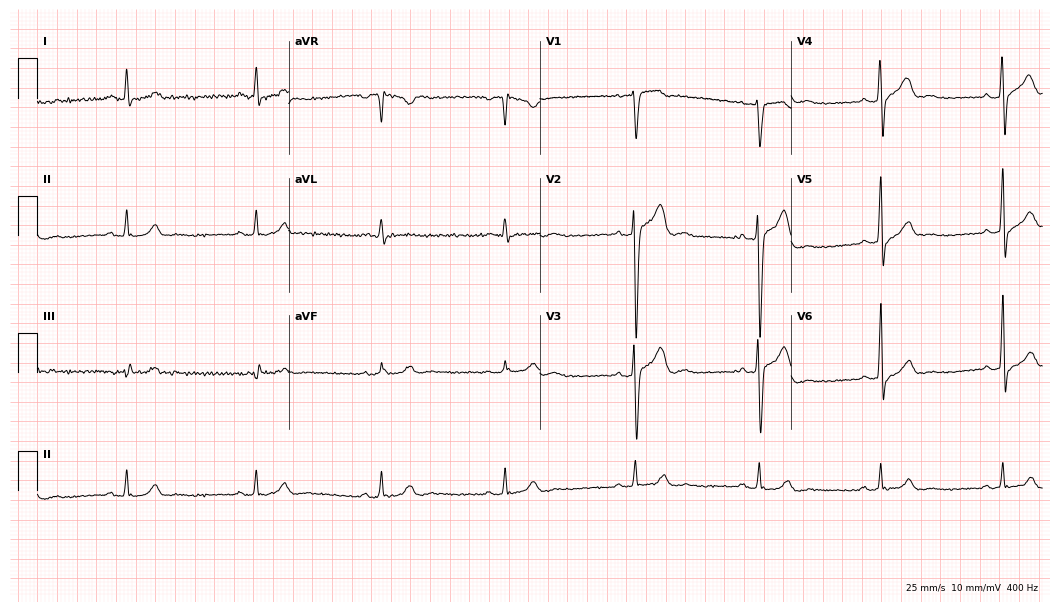
12-lead ECG from a 37-year-old man. No first-degree AV block, right bundle branch block (RBBB), left bundle branch block (LBBB), sinus bradycardia, atrial fibrillation (AF) or sinus tachycardia recorded for this tracing.